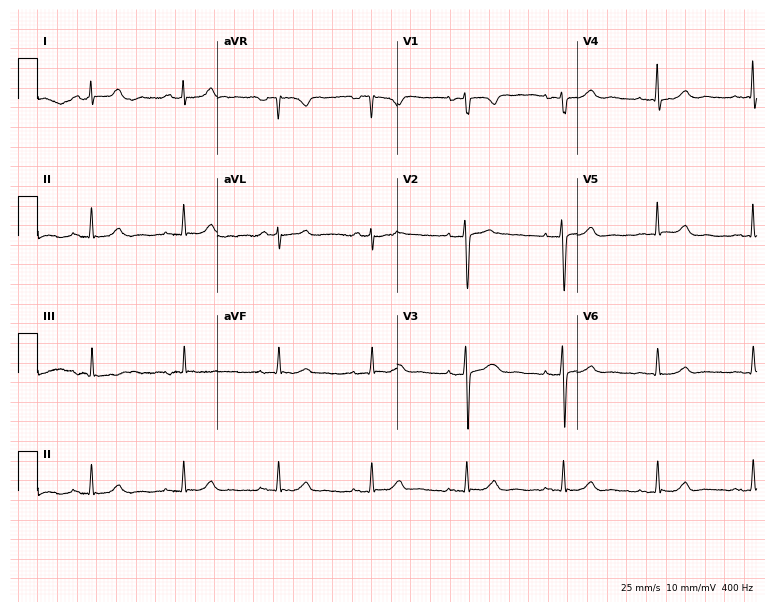
Electrocardiogram (7.3-second recording at 400 Hz), a 74-year-old female patient. Overall reading on record: normal ECG.